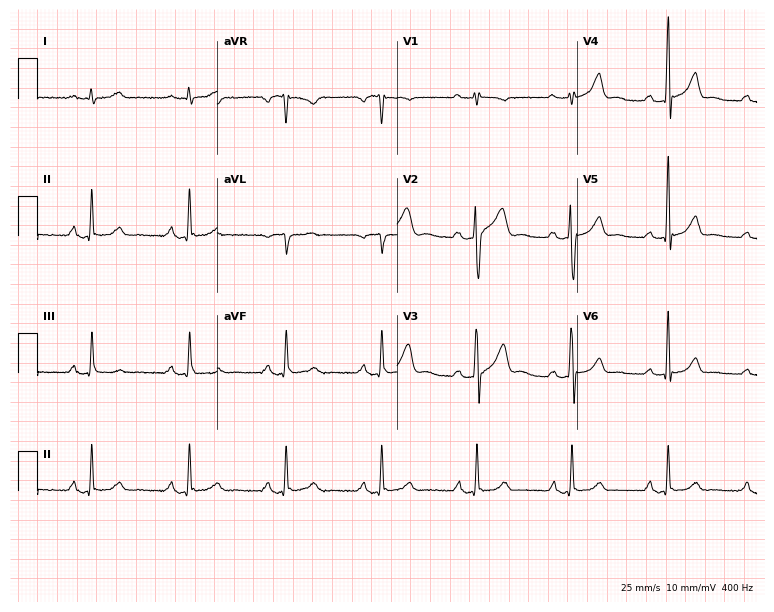
Resting 12-lead electrocardiogram. Patient: a 46-year-old male. The tracing shows first-degree AV block.